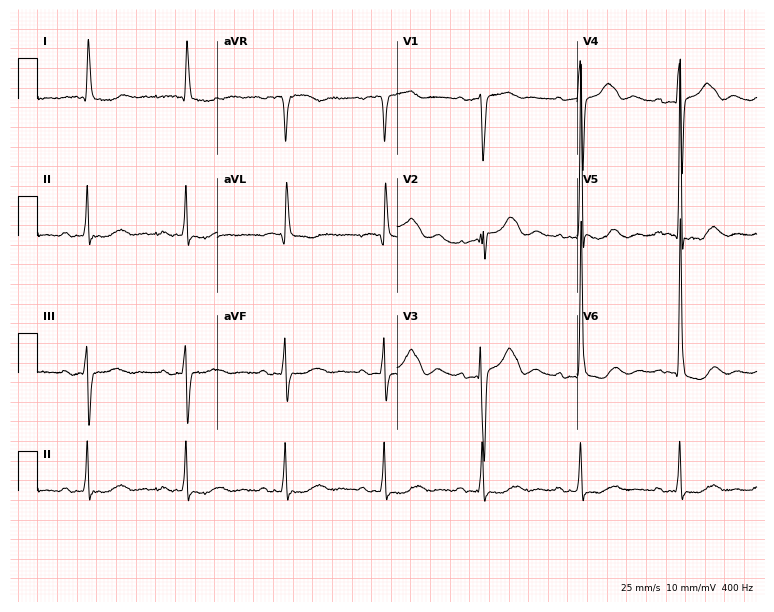
12-lead ECG from an 80-year-old female patient. Shows first-degree AV block.